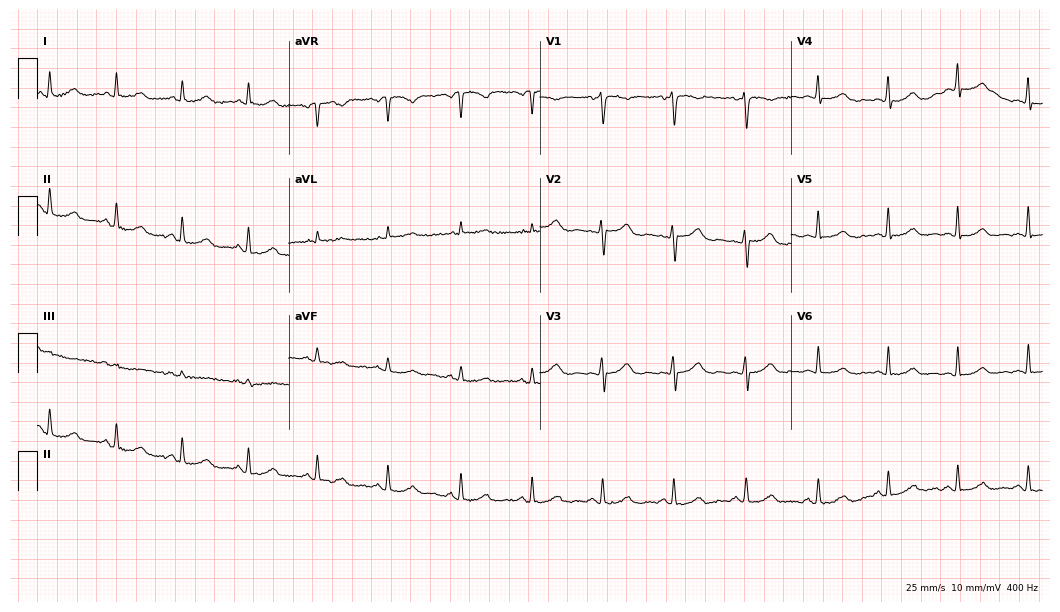
Resting 12-lead electrocardiogram (10.2-second recording at 400 Hz). Patient: a female, 52 years old. Read as a normal ECG.